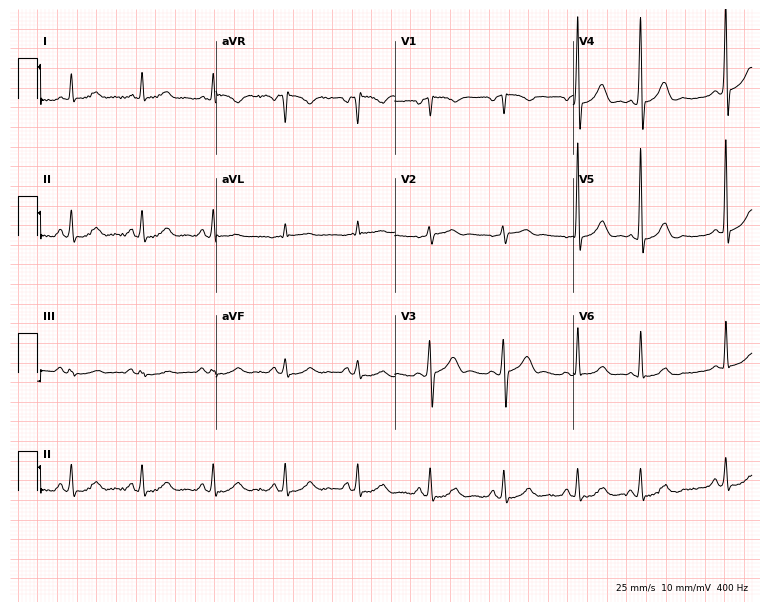
12-lead ECG from a 70-year-old male. Labelled as a normal ECG.